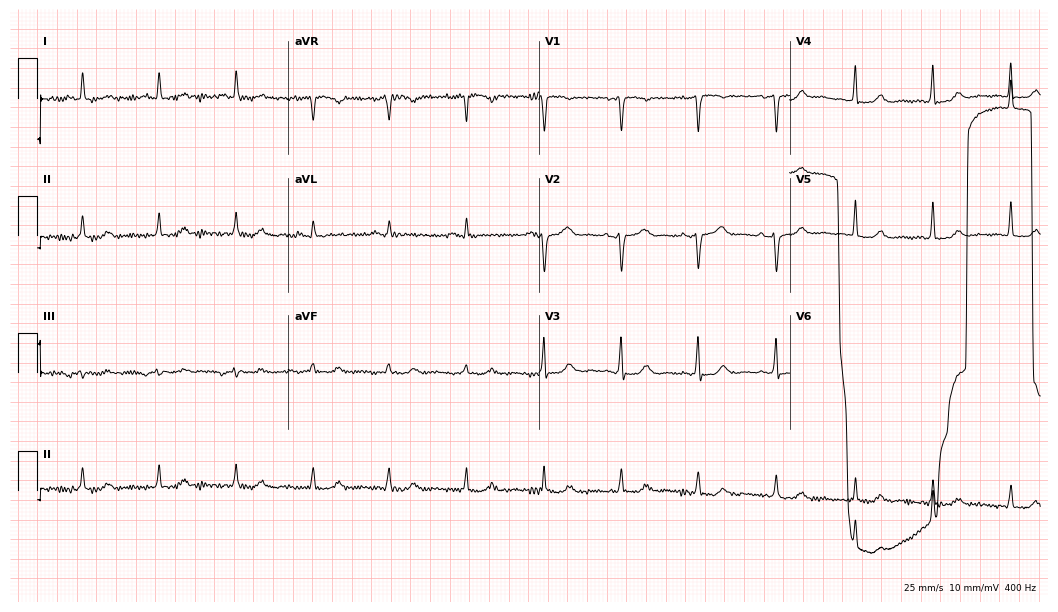
Resting 12-lead electrocardiogram. Patient: a female, 56 years old. None of these six findings is recorded: first-degree AV block, right bundle branch block, left bundle branch block, sinus bradycardia, atrial fibrillation, sinus tachycardia. Only these six findings were labelled.